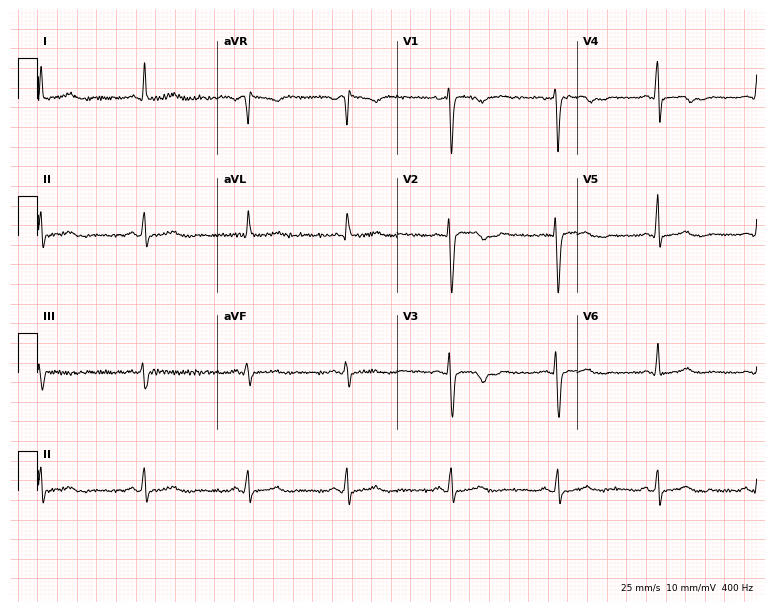
12-lead ECG (7.3-second recording at 400 Hz) from a 44-year-old woman. Screened for six findings — first-degree AV block, right bundle branch block, left bundle branch block, sinus bradycardia, atrial fibrillation, sinus tachycardia — none is recorded.